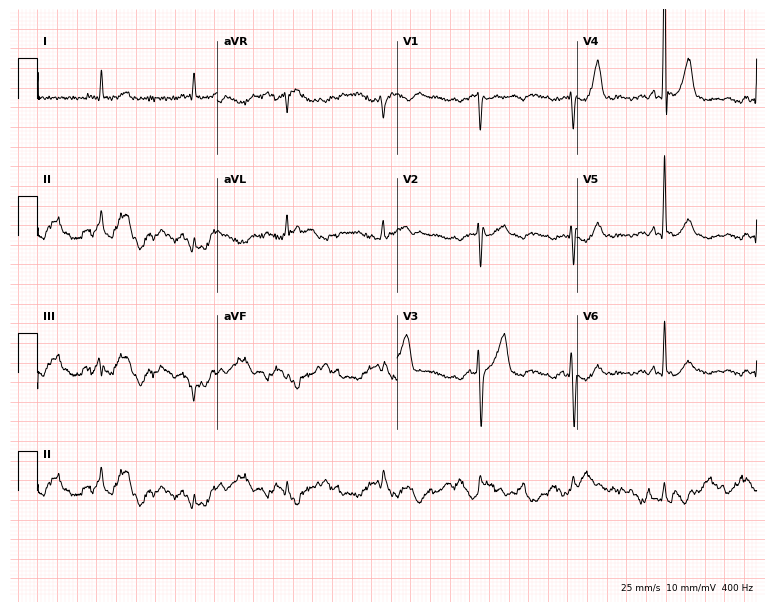
Standard 12-lead ECG recorded from a 56-year-old man. None of these six findings is recorded: first-degree AV block, right bundle branch block, left bundle branch block, sinus bradycardia, atrial fibrillation, sinus tachycardia. Other findings, if any, are not listed.